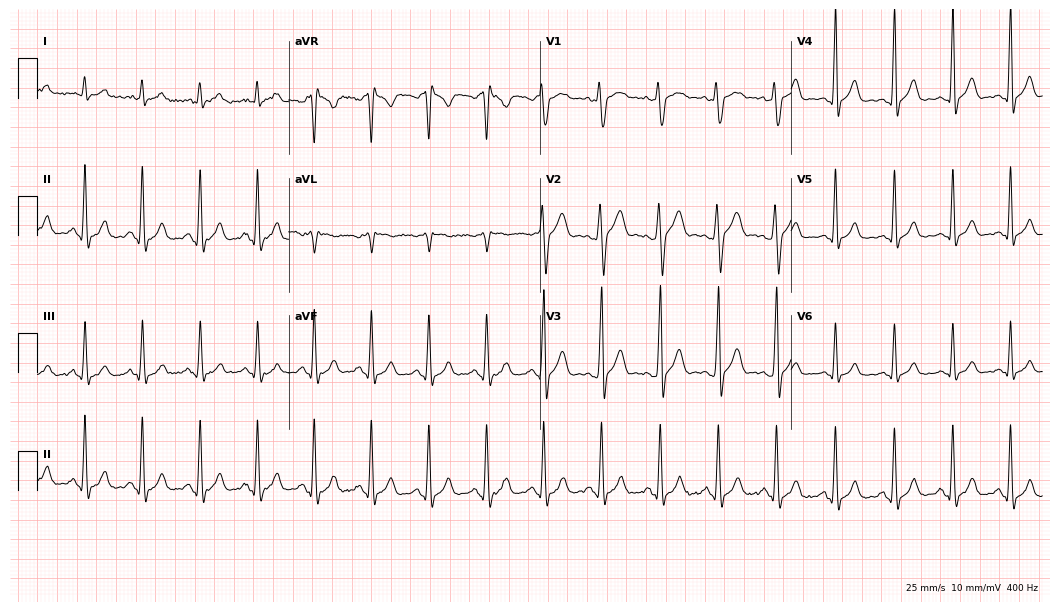
Resting 12-lead electrocardiogram (10.2-second recording at 400 Hz). Patient: a 26-year-old man. The tracing shows sinus tachycardia (a sinus rate of 100 beats per minute or more).